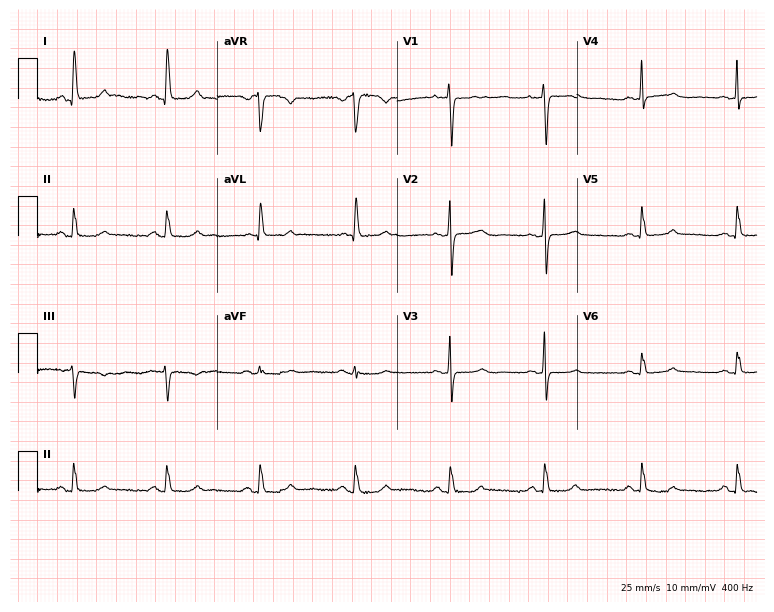
Electrocardiogram, a 71-year-old female. Of the six screened findings (first-degree AV block, right bundle branch block, left bundle branch block, sinus bradycardia, atrial fibrillation, sinus tachycardia), none is recorded. Only these six findings were labelled.